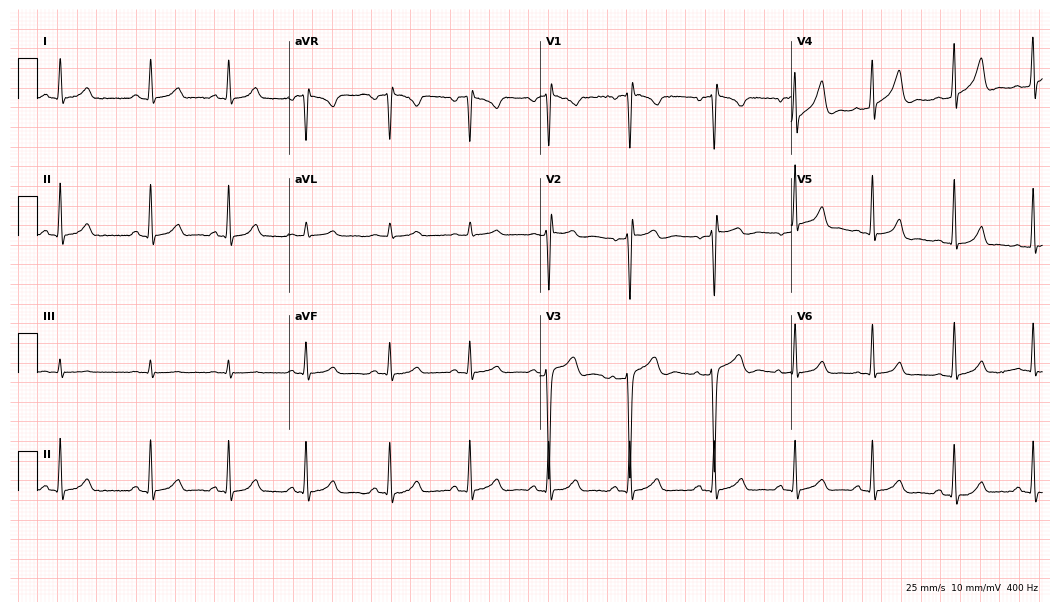
ECG (10.2-second recording at 400 Hz) — a man, 23 years old. Labelled as a normal ECG.